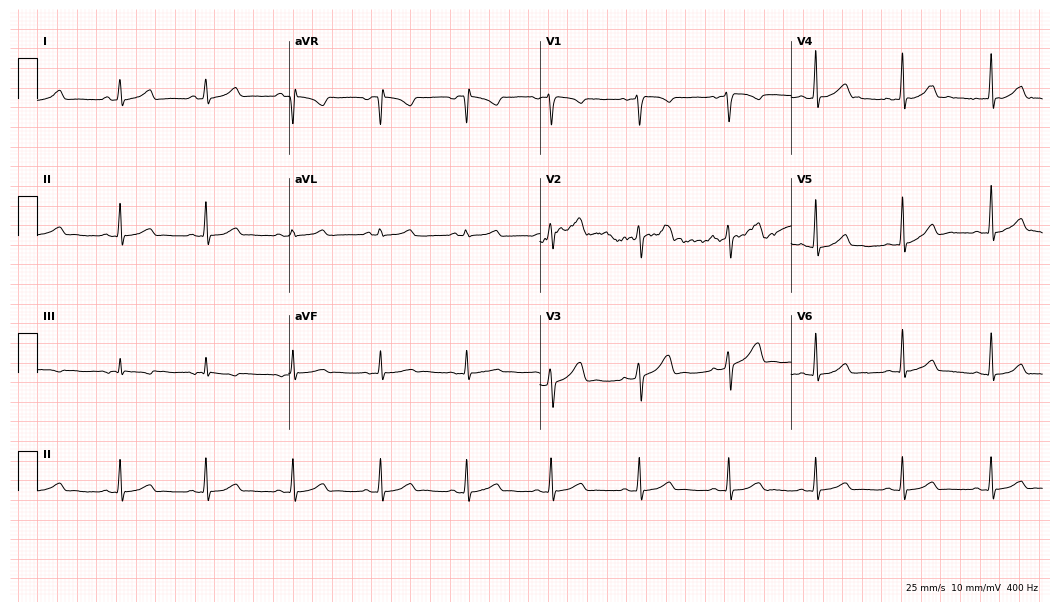
ECG (10.2-second recording at 400 Hz) — a female, 28 years old. Labelled as a normal ECG.